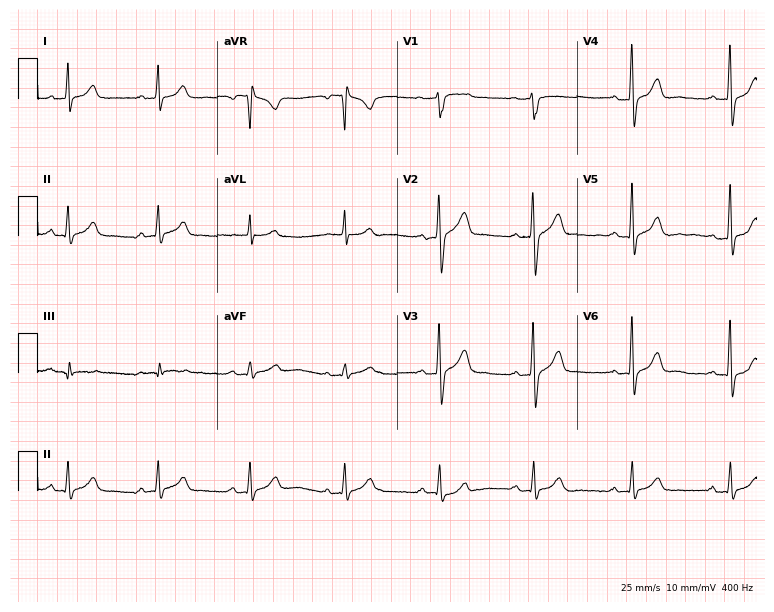
12-lead ECG from a 40-year-old male (7.3-second recording at 400 Hz). Recorded interpretation: within normal limits.